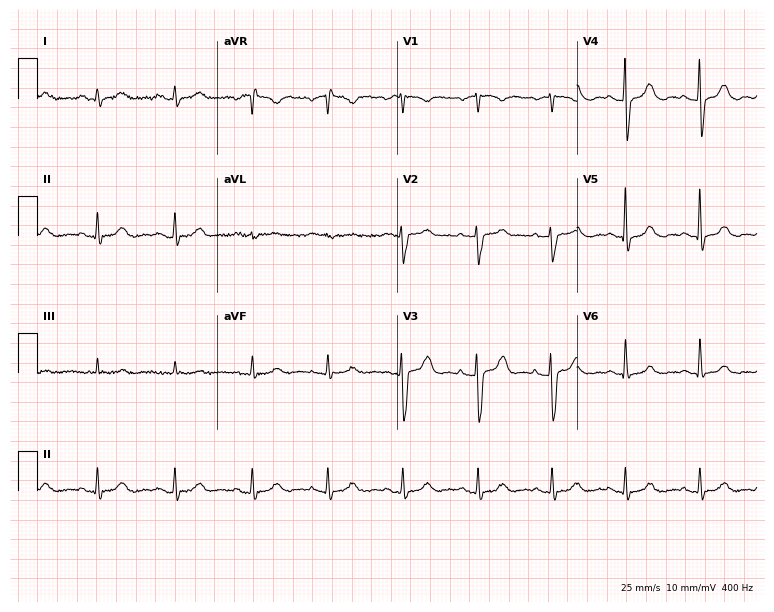
12-lead ECG from a female, 61 years old. Screened for six findings — first-degree AV block, right bundle branch block (RBBB), left bundle branch block (LBBB), sinus bradycardia, atrial fibrillation (AF), sinus tachycardia — none is recorded. Other findings, if any, are not listed.